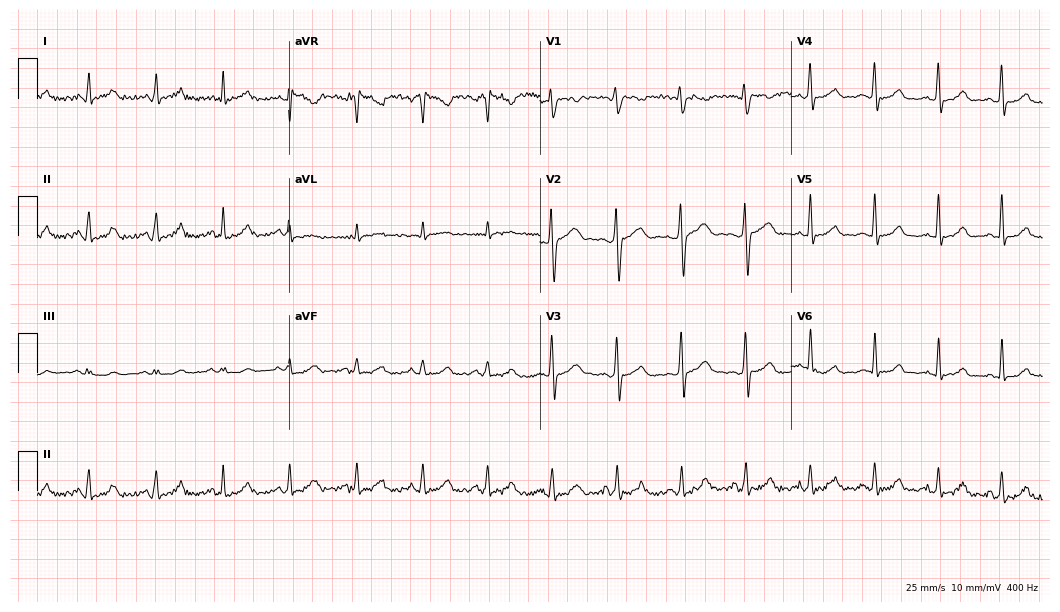
12-lead ECG (10.2-second recording at 400 Hz) from a 41-year-old female. Screened for six findings — first-degree AV block, right bundle branch block (RBBB), left bundle branch block (LBBB), sinus bradycardia, atrial fibrillation (AF), sinus tachycardia — none is recorded. Findings outside these six are not listed.